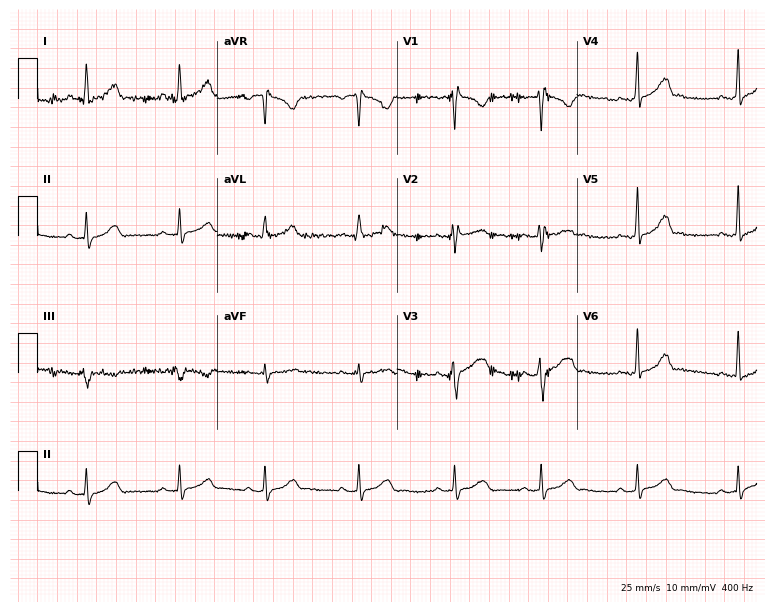
Resting 12-lead electrocardiogram. Patient: a woman, 33 years old. None of these six findings is recorded: first-degree AV block, right bundle branch block, left bundle branch block, sinus bradycardia, atrial fibrillation, sinus tachycardia. Other findings, if any, are not listed.